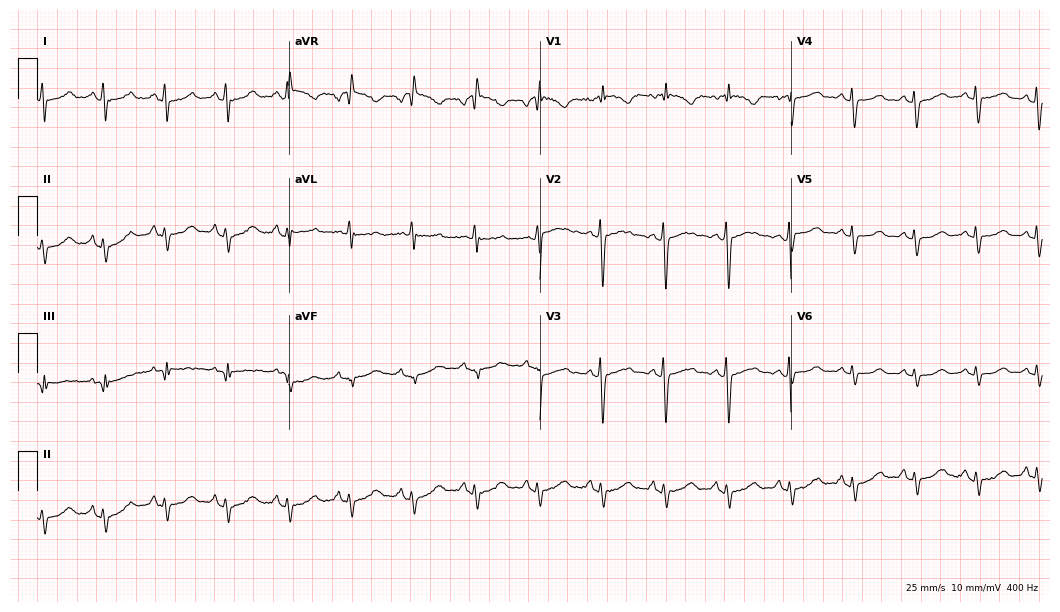
12-lead ECG from a female patient, 42 years old. Screened for six findings — first-degree AV block, right bundle branch block (RBBB), left bundle branch block (LBBB), sinus bradycardia, atrial fibrillation (AF), sinus tachycardia — none is recorded. Only these six findings were labelled.